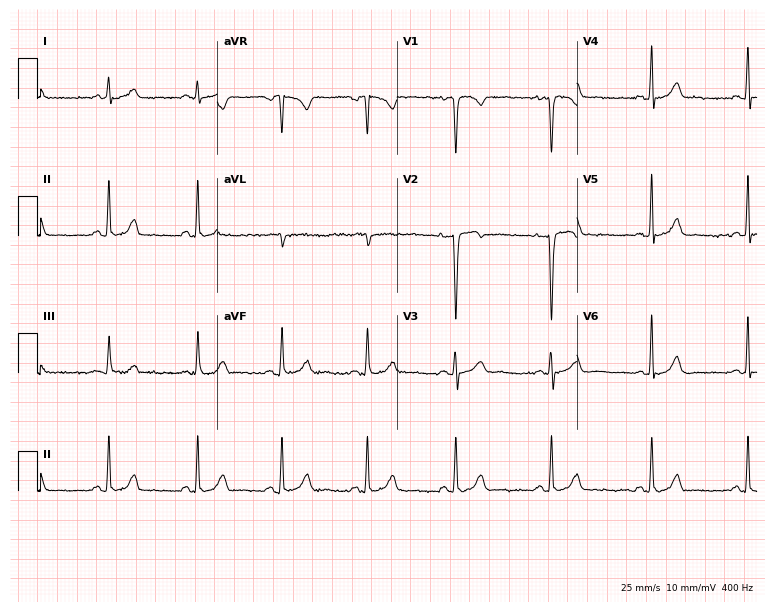
Standard 12-lead ECG recorded from a 35-year-old woman (7.3-second recording at 400 Hz). None of these six findings is recorded: first-degree AV block, right bundle branch block, left bundle branch block, sinus bradycardia, atrial fibrillation, sinus tachycardia. Only these six findings were labelled.